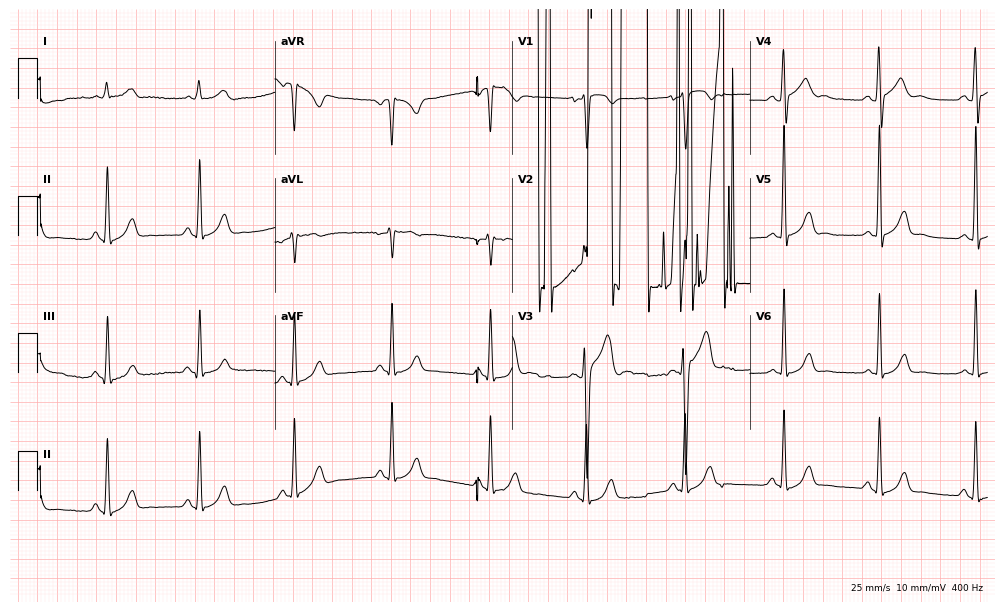
Standard 12-lead ECG recorded from a 34-year-old man. None of these six findings is recorded: first-degree AV block, right bundle branch block (RBBB), left bundle branch block (LBBB), sinus bradycardia, atrial fibrillation (AF), sinus tachycardia.